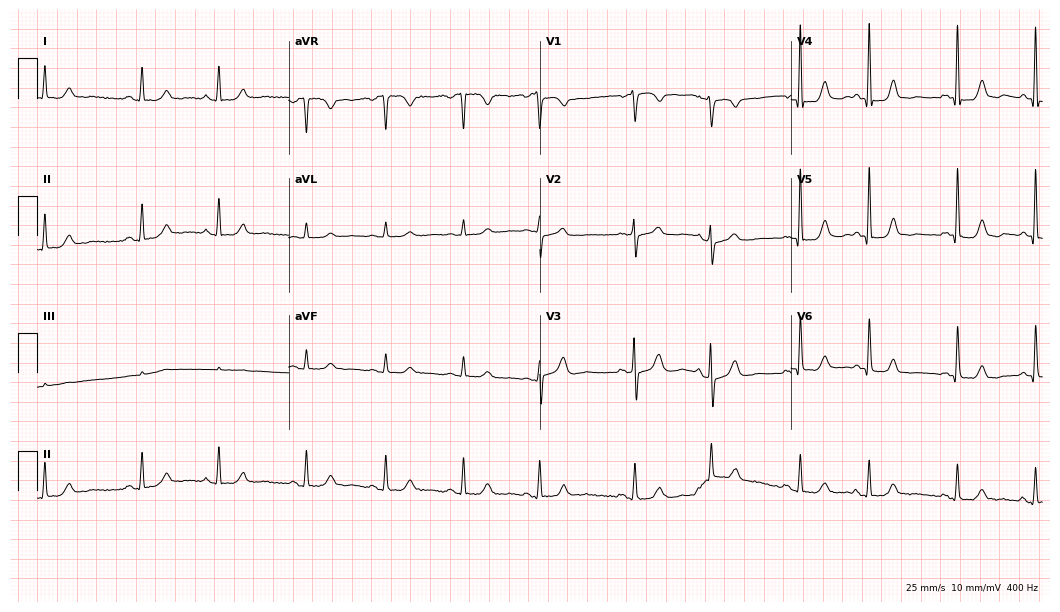
Electrocardiogram, a female patient, 81 years old. Of the six screened findings (first-degree AV block, right bundle branch block, left bundle branch block, sinus bradycardia, atrial fibrillation, sinus tachycardia), none is recorded.